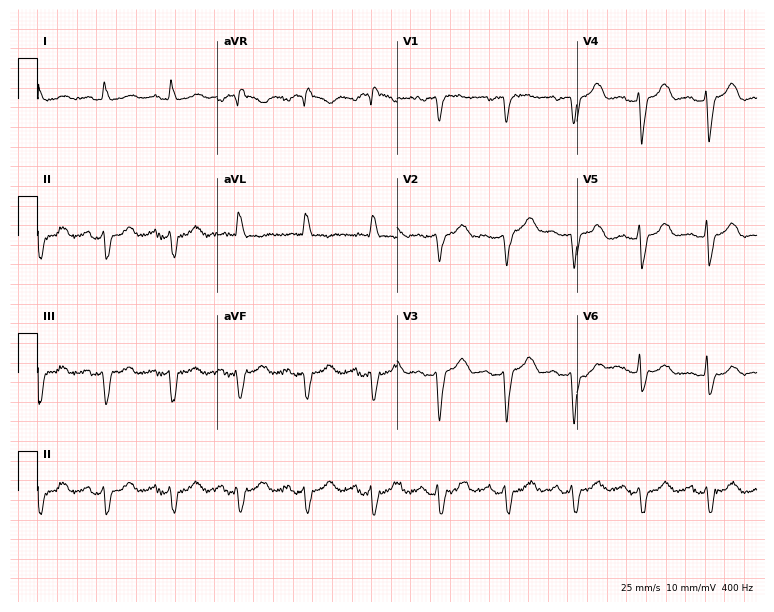
Electrocardiogram, a female patient, 79 years old. Of the six screened findings (first-degree AV block, right bundle branch block, left bundle branch block, sinus bradycardia, atrial fibrillation, sinus tachycardia), none is recorded. Other findings, if any, are not listed.